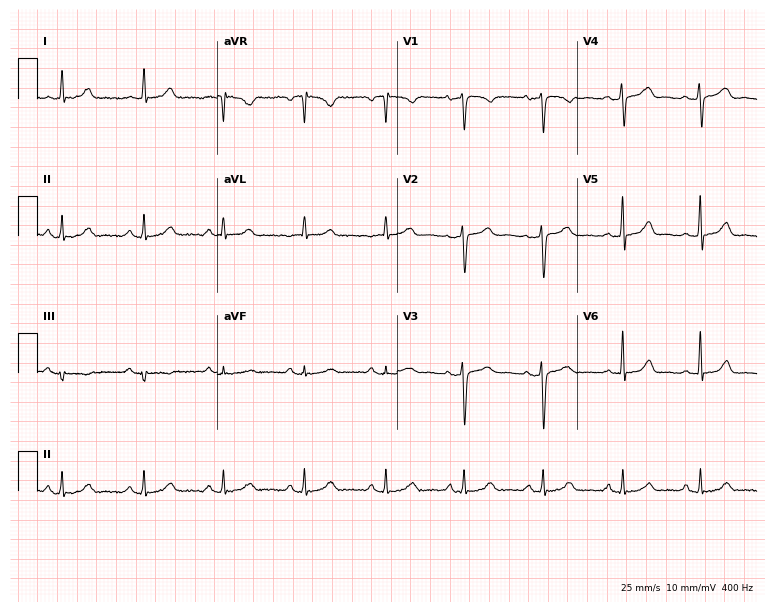
12-lead ECG from a female, 45 years old. Labelled as a normal ECG.